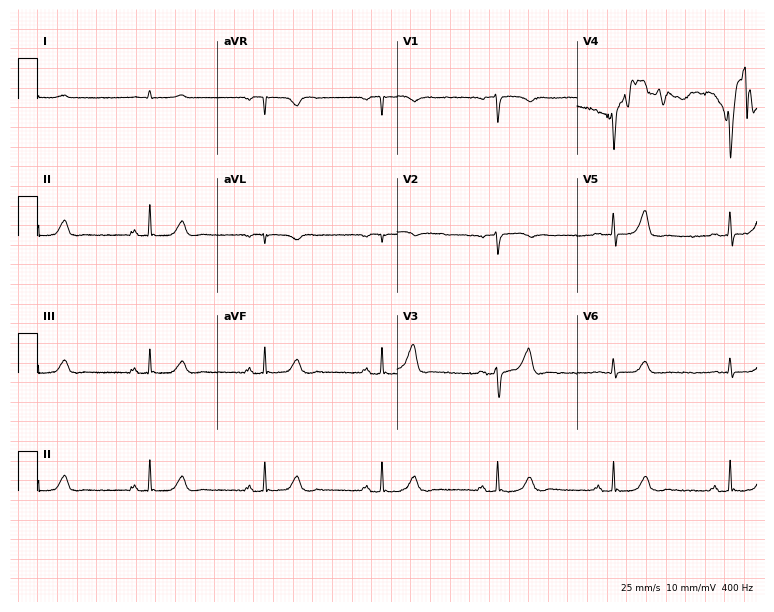
12-lead ECG from a 70-year-old male. Screened for six findings — first-degree AV block, right bundle branch block, left bundle branch block, sinus bradycardia, atrial fibrillation, sinus tachycardia — none is recorded. Only these six findings were labelled.